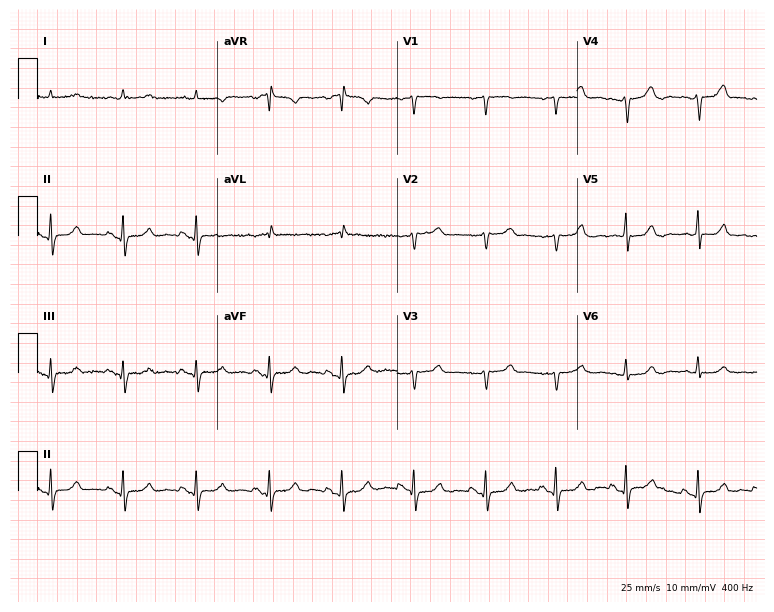
Electrocardiogram, a 72-year-old woman. Of the six screened findings (first-degree AV block, right bundle branch block (RBBB), left bundle branch block (LBBB), sinus bradycardia, atrial fibrillation (AF), sinus tachycardia), none is recorded.